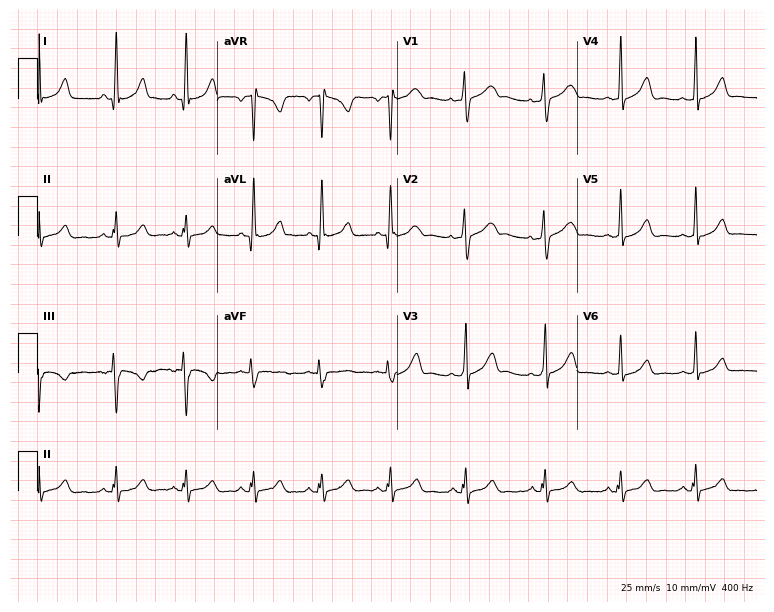
ECG — a 29-year-old woman. Labelled as a normal ECG.